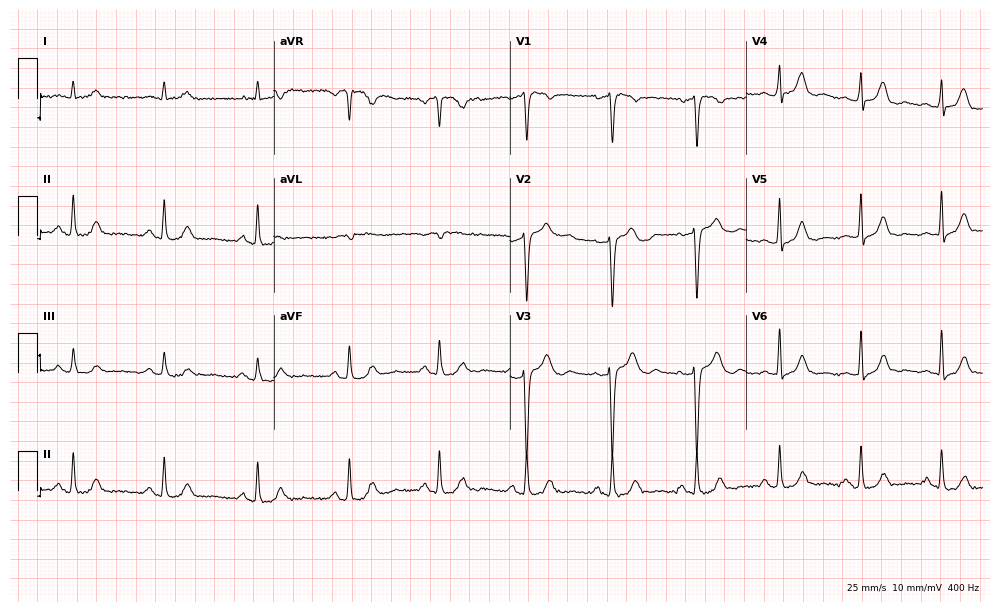
Resting 12-lead electrocardiogram. Patient: a male, 63 years old. None of these six findings is recorded: first-degree AV block, right bundle branch block, left bundle branch block, sinus bradycardia, atrial fibrillation, sinus tachycardia. Only these six findings were labelled.